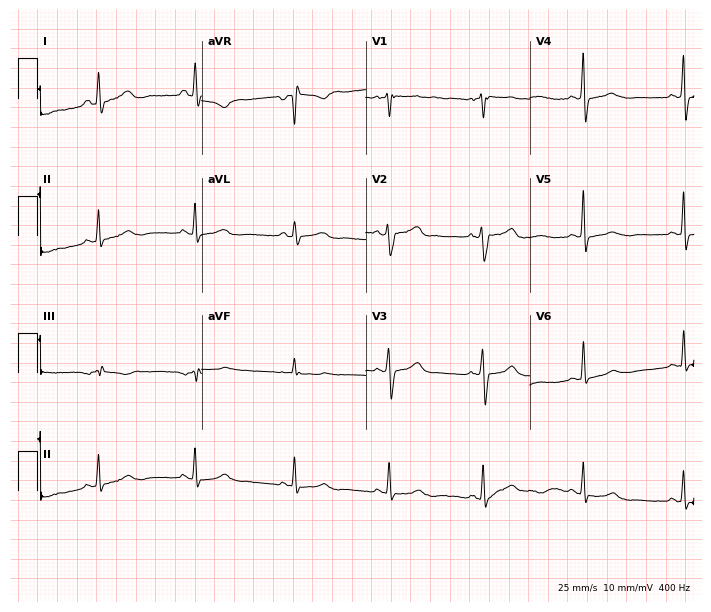
12-lead ECG from a female patient, 55 years old (6.7-second recording at 400 Hz). No first-degree AV block, right bundle branch block, left bundle branch block, sinus bradycardia, atrial fibrillation or sinus tachycardia recorded for this tracing. Findings outside these six are not listed.